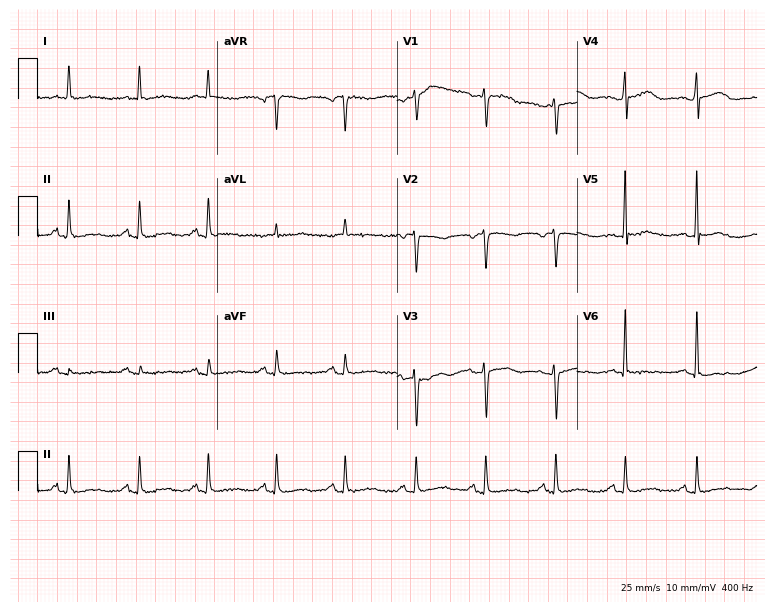
Standard 12-lead ECG recorded from a female patient, 67 years old (7.3-second recording at 400 Hz). None of these six findings is recorded: first-degree AV block, right bundle branch block (RBBB), left bundle branch block (LBBB), sinus bradycardia, atrial fibrillation (AF), sinus tachycardia.